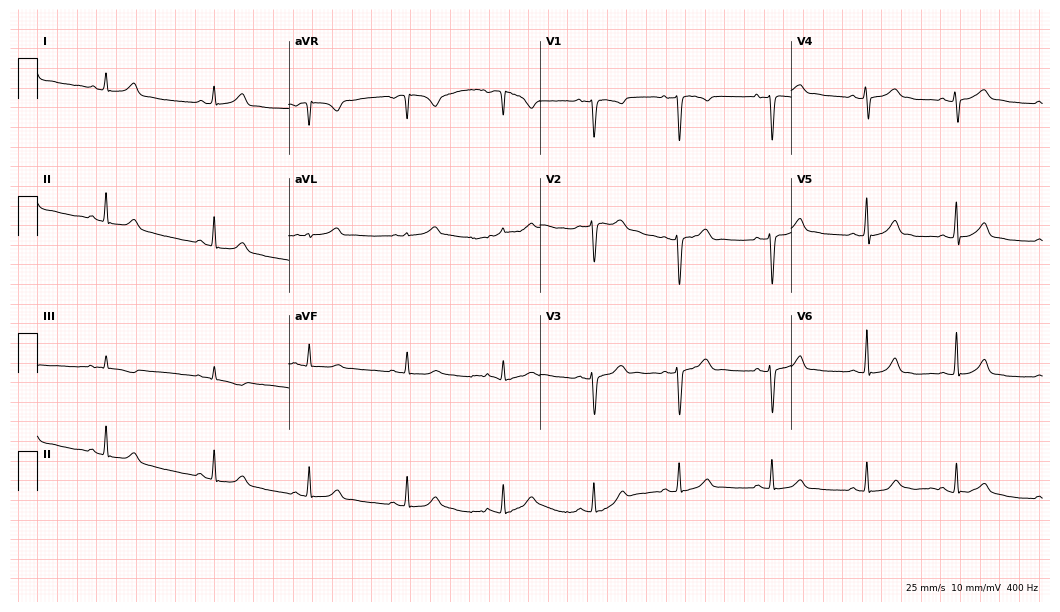
Resting 12-lead electrocardiogram. Patient: a 37-year-old woman. Read as a normal ECG.